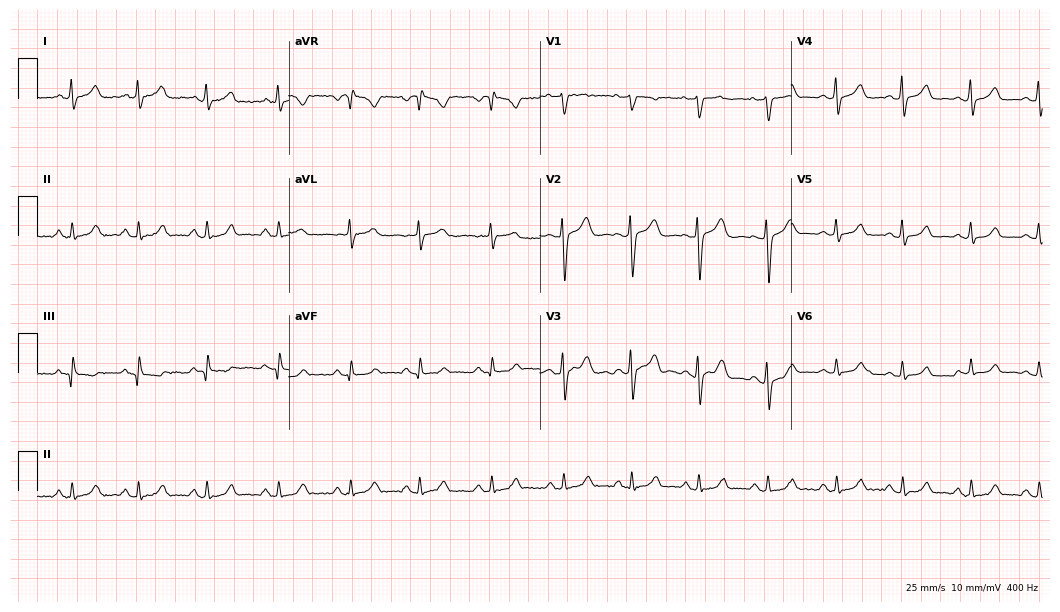
ECG (10.2-second recording at 400 Hz) — a woman, 29 years old. Labelled as a normal ECG.